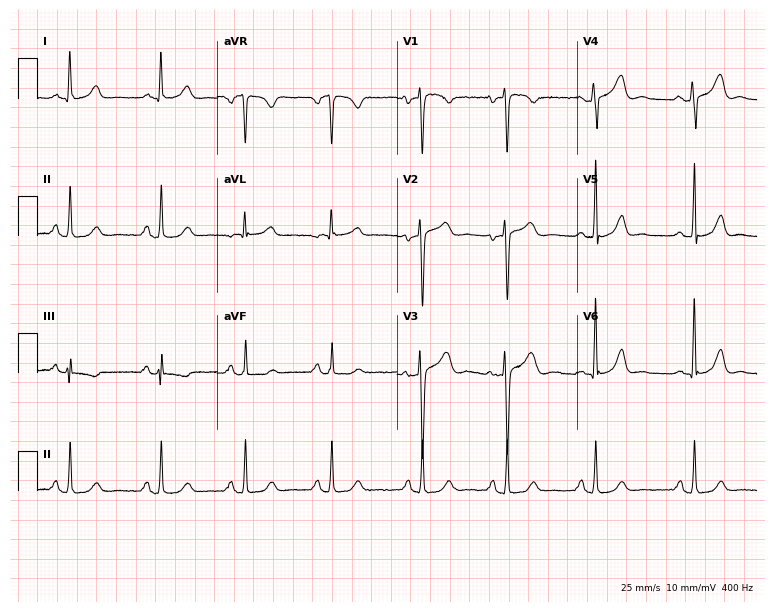
Electrocardiogram, a 39-year-old woman. Overall reading on record: normal ECG.